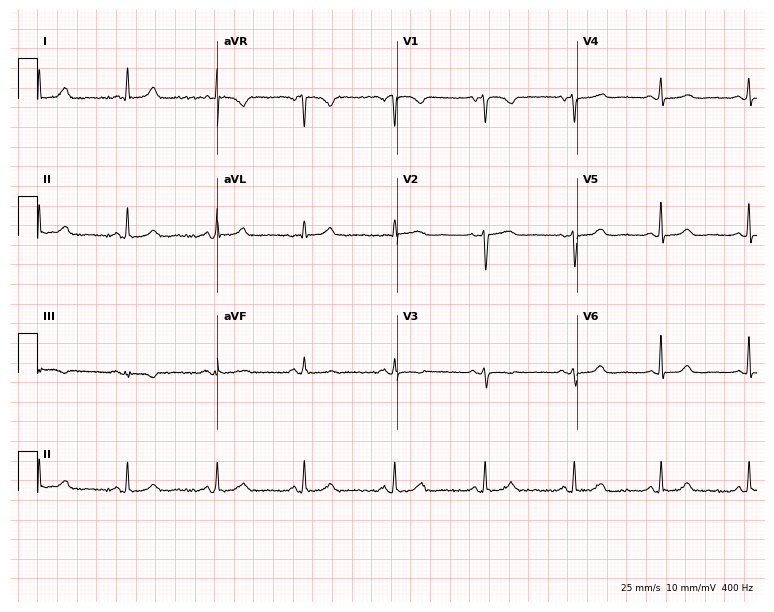
ECG — a woman, 66 years old. Screened for six findings — first-degree AV block, right bundle branch block, left bundle branch block, sinus bradycardia, atrial fibrillation, sinus tachycardia — none is recorded.